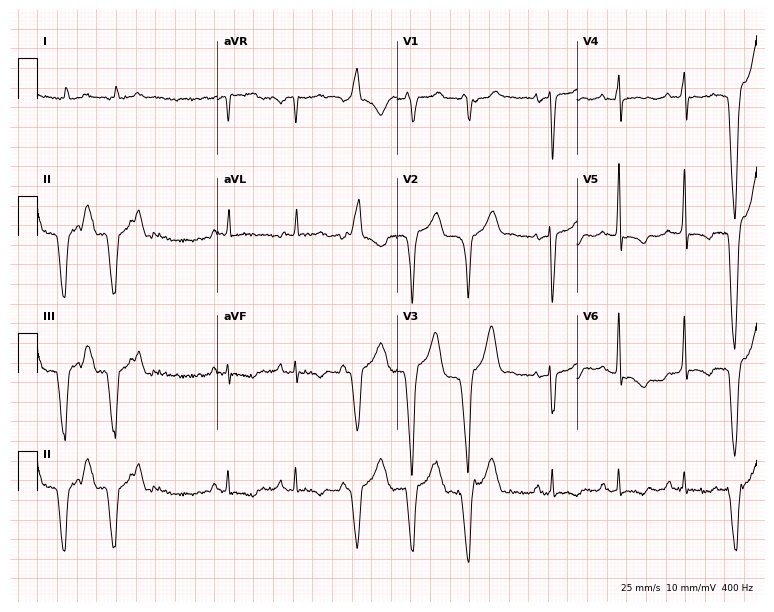
Resting 12-lead electrocardiogram (7.3-second recording at 400 Hz). Patient: an 83-year-old male. None of these six findings is recorded: first-degree AV block, right bundle branch block, left bundle branch block, sinus bradycardia, atrial fibrillation, sinus tachycardia. Other findings, if any, are not listed.